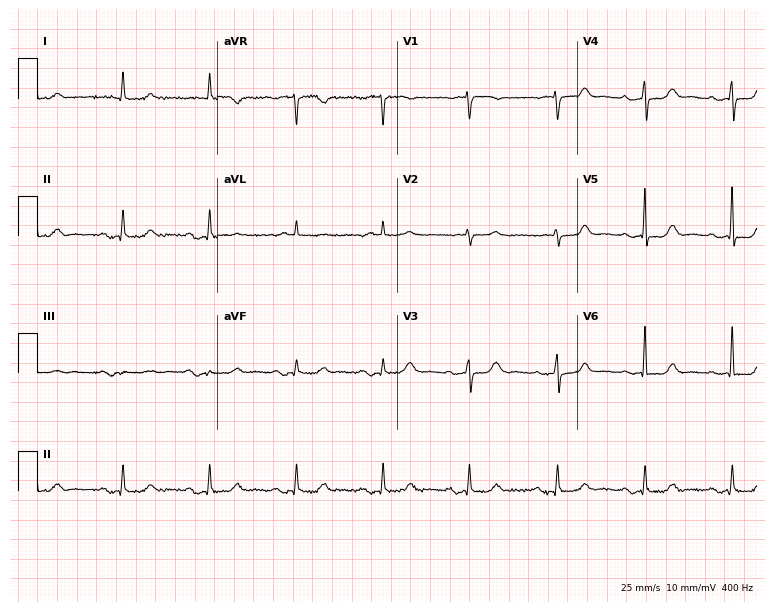
Standard 12-lead ECG recorded from a 79-year-old woman. None of these six findings is recorded: first-degree AV block, right bundle branch block (RBBB), left bundle branch block (LBBB), sinus bradycardia, atrial fibrillation (AF), sinus tachycardia.